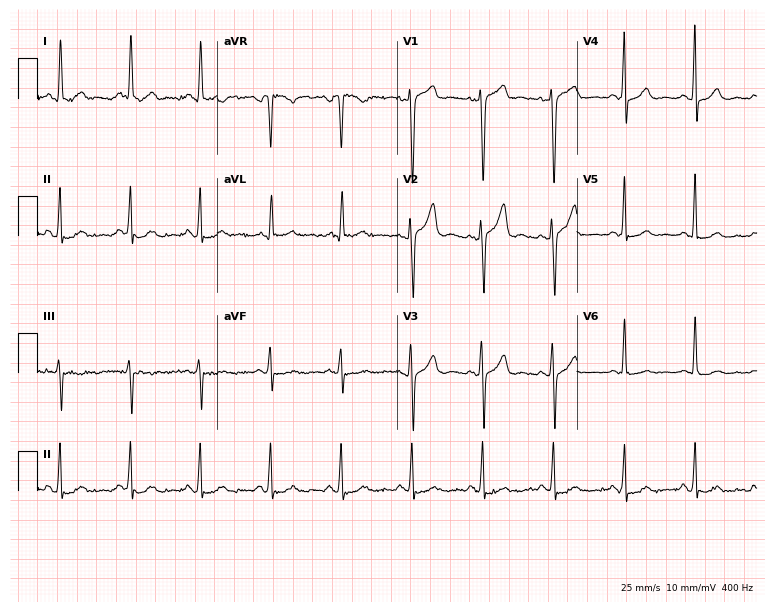
ECG (7.3-second recording at 400 Hz) — a 74-year-old woman. Labelled as a normal ECG.